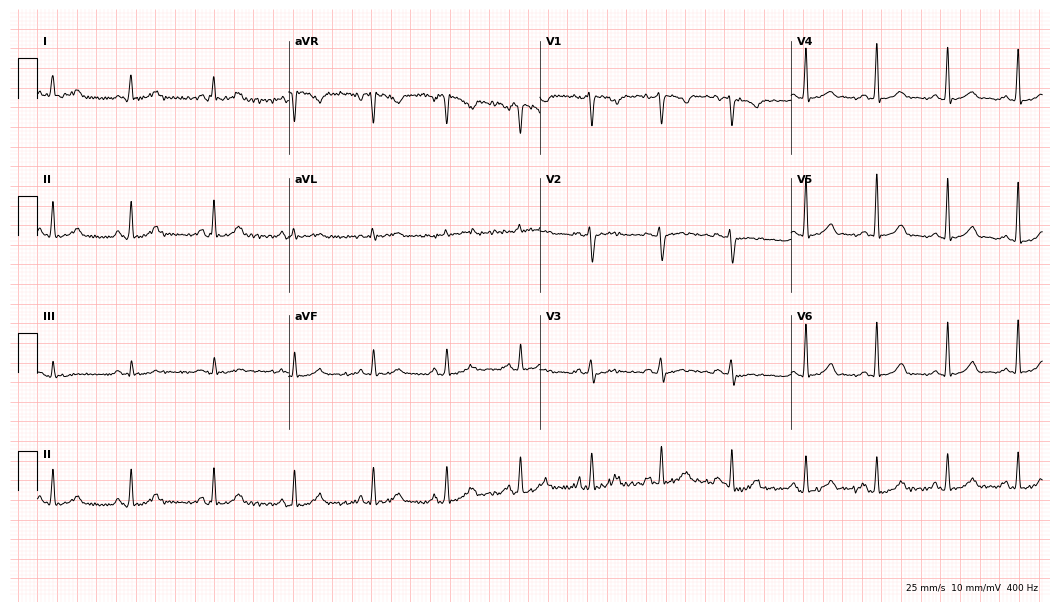
12-lead ECG (10.2-second recording at 400 Hz) from a 31-year-old female patient. Labelled as a normal ECG.